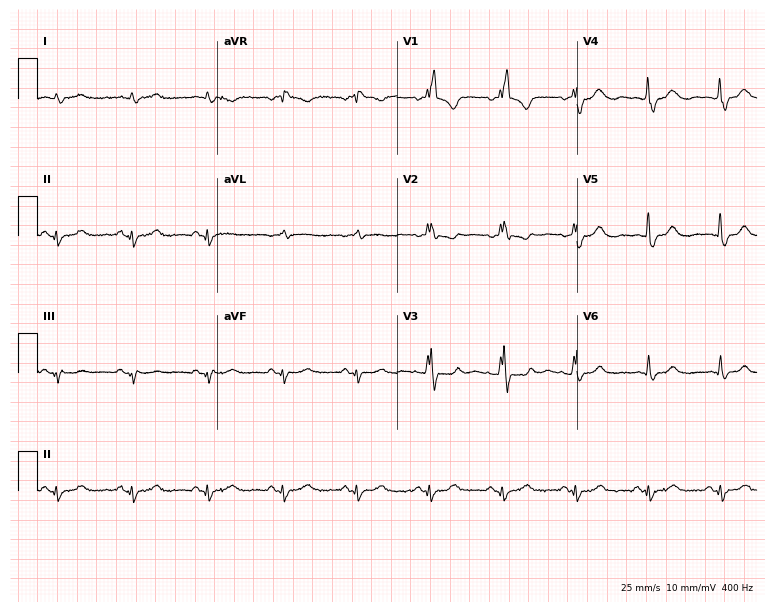
12-lead ECG from a man, 63 years old (7.3-second recording at 400 Hz). No first-degree AV block, right bundle branch block (RBBB), left bundle branch block (LBBB), sinus bradycardia, atrial fibrillation (AF) or sinus tachycardia recorded for this tracing.